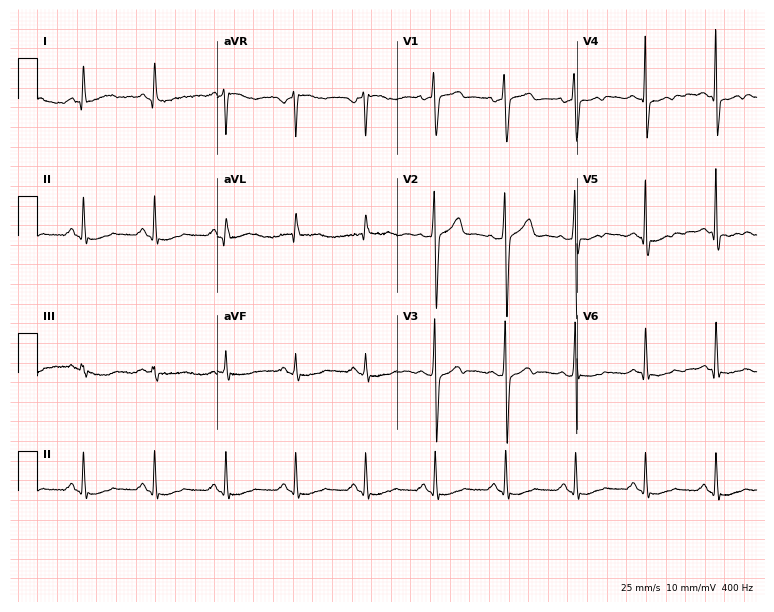
Electrocardiogram (7.3-second recording at 400 Hz), a 60-year-old male. Of the six screened findings (first-degree AV block, right bundle branch block, left bundle branch block, sinus bradycardia, atrial fibrillation, sinus tachycardia), none is recorded. Only these six findings were labelled.